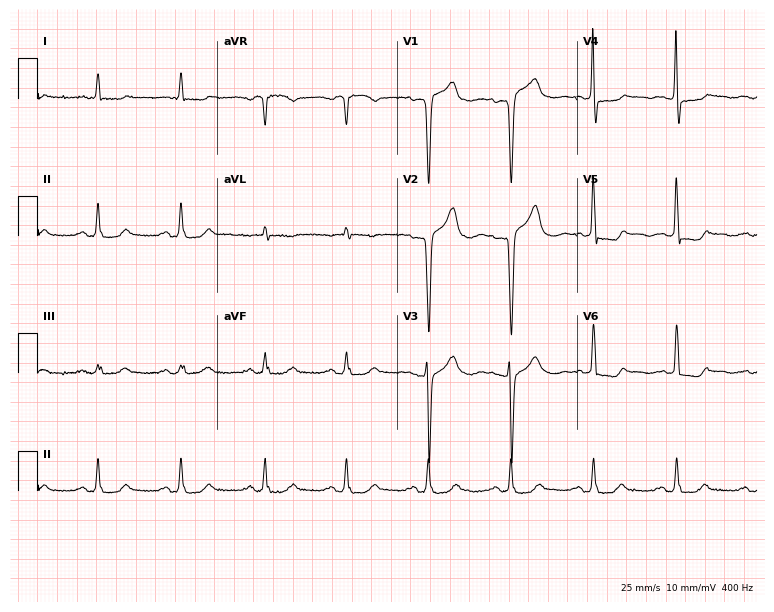
ECG (7.3-second recording at 400 Hz) — a 72-year-old male. Screened for six findings — first-degree AV block, right bundle branch block, left bundle branch block, sinus bradycardia, atrial fibrillation, sinus tachycardia — none is recorded.